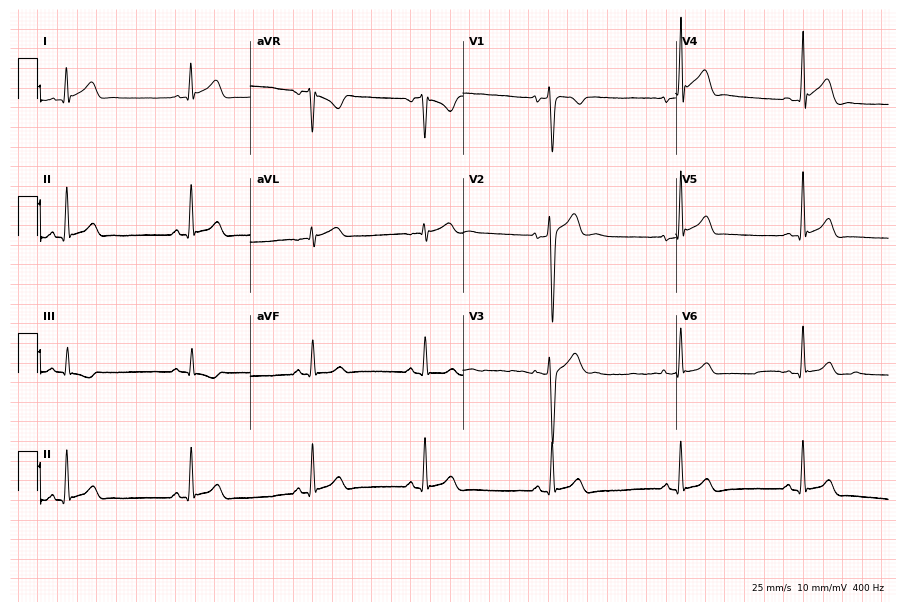
Electrocardiogram, a 20-year-old male. Overall reading on record: normal ECG.